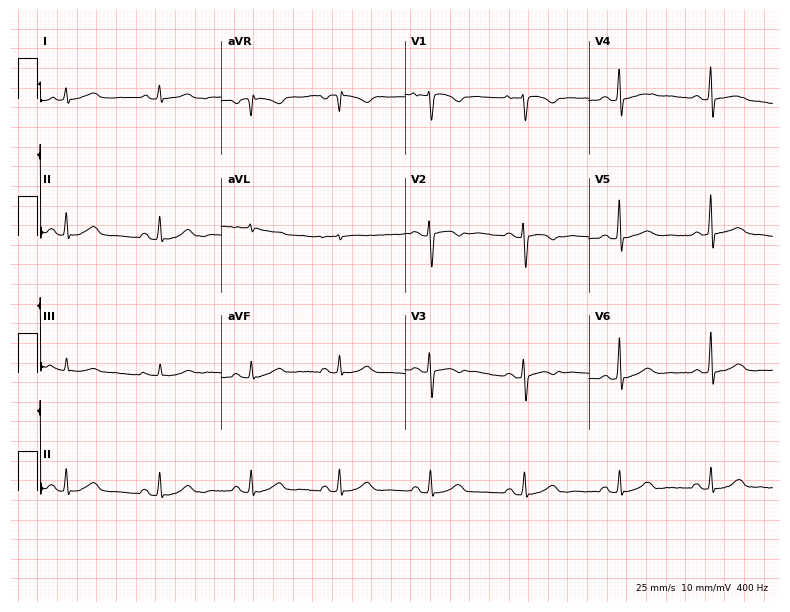
Standard 12-lead ECG recorded from a woman, 42 years old. Read as a normal ECG.